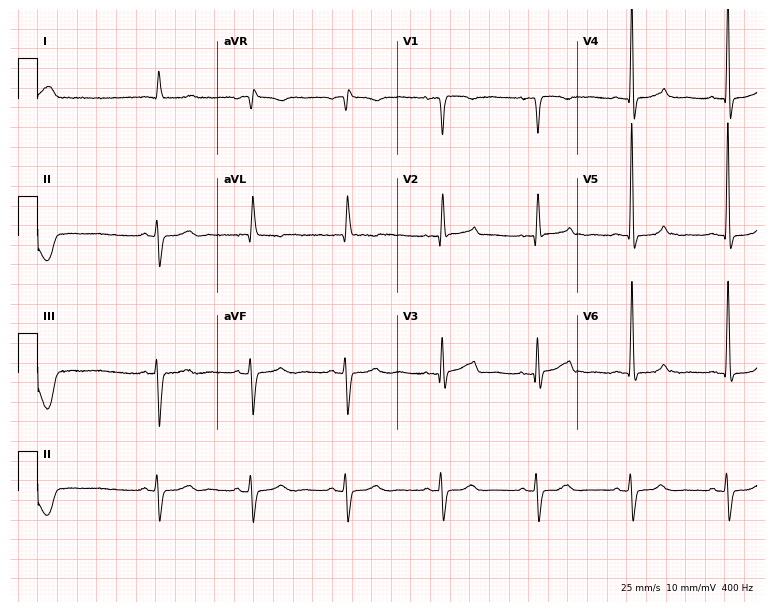
Standard 12-lead ECG recorded from a 71-year-old woman (7.3-second recording at 400 Hz). None of these six findings is recorded: first-degree AV block, right bundle branch block, left bundle branch block, sinus bradycardia, atrial fibrillation, sinus tachycardia. Only these six findings were labelled.